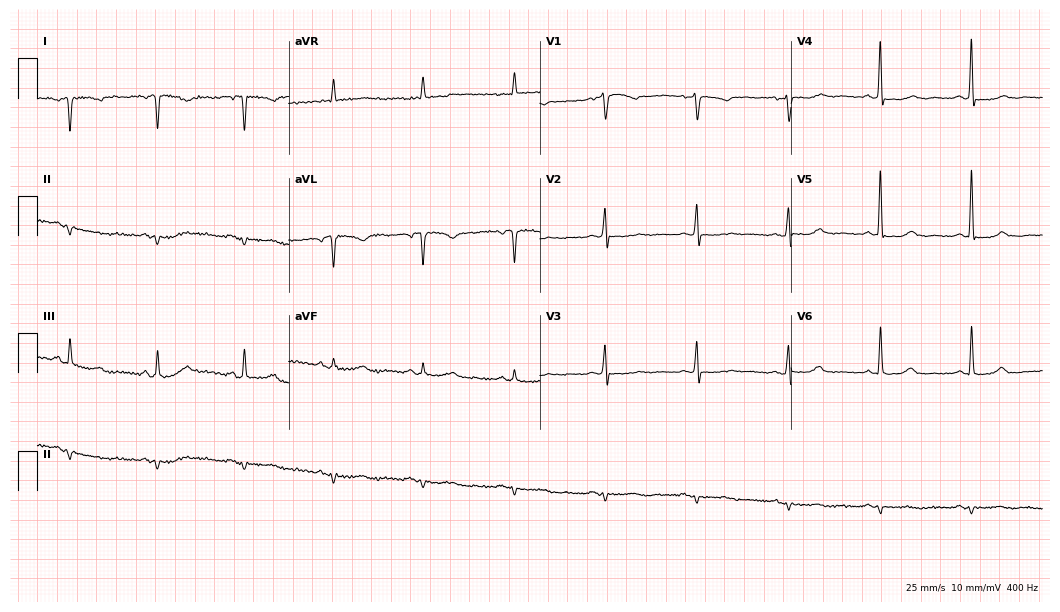
Electrocardiogram, a 75-year-old woman. Of the six screened findings (first-degree AV block, right bundle branch block, left bundle branch block, sinus bradycardia, atrial fibrillation, sinus tachycardia), none is recorded. Findings outside these six are not listed.